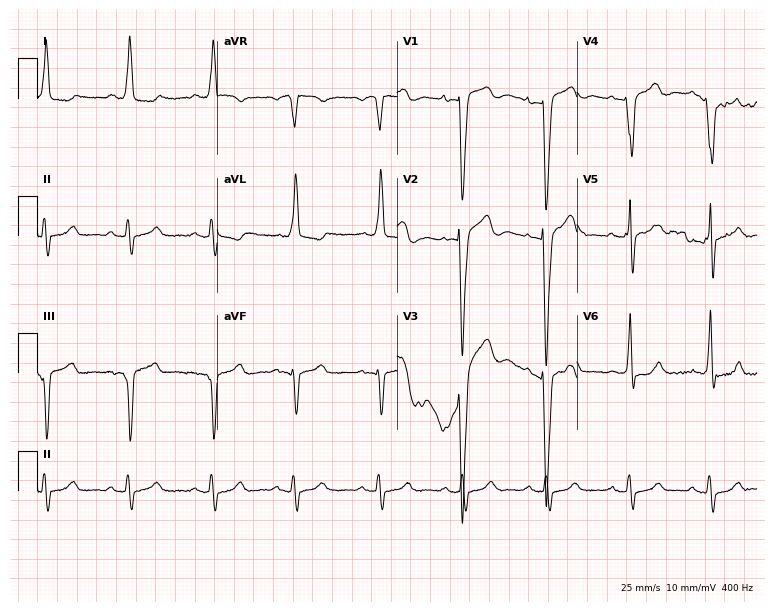
12-lead ECG (7.3-second recording at 400 Hz) from a male, 71 years old. Findings include left bundle branch block.